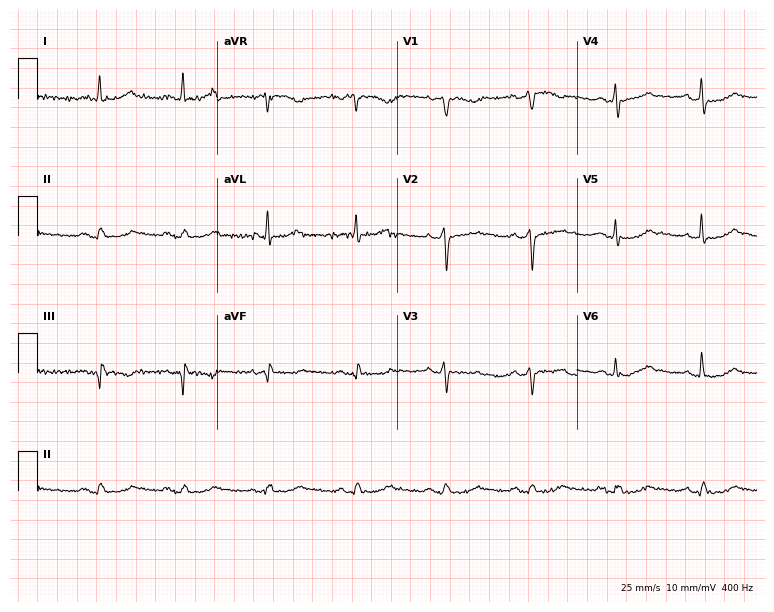
Standard 12-lead ECG recorded from a male, 75 years old. Read as a normal ECG.